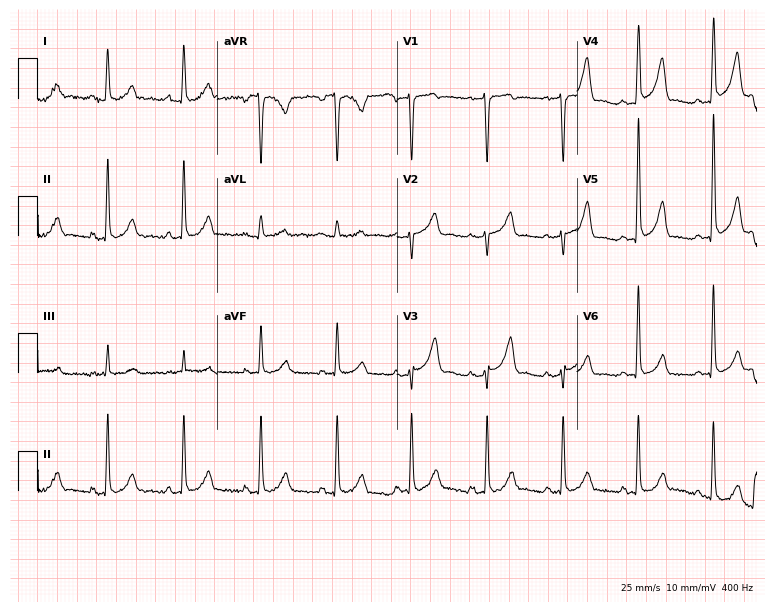
12-lead ECG from a female, 67 years old. Labelled as a normal ECG.